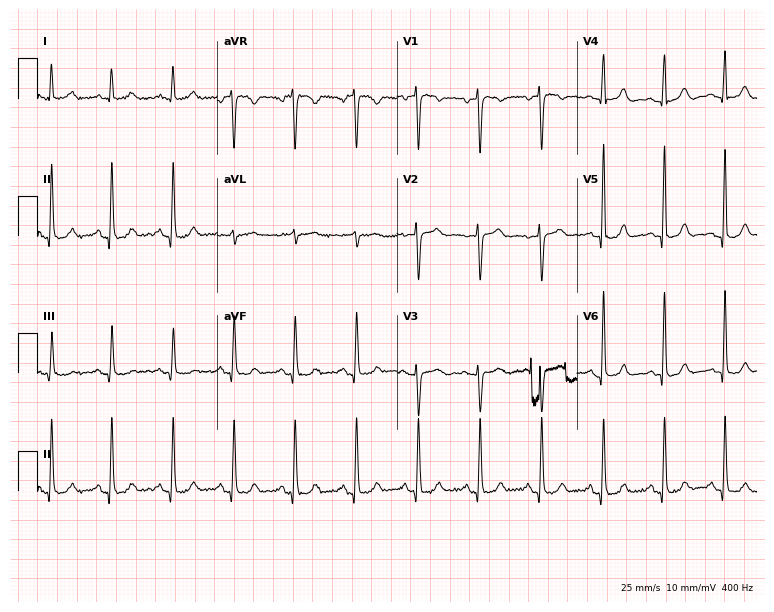
ECG — a 74-year-old female patient. Labelled as a normal ECG.